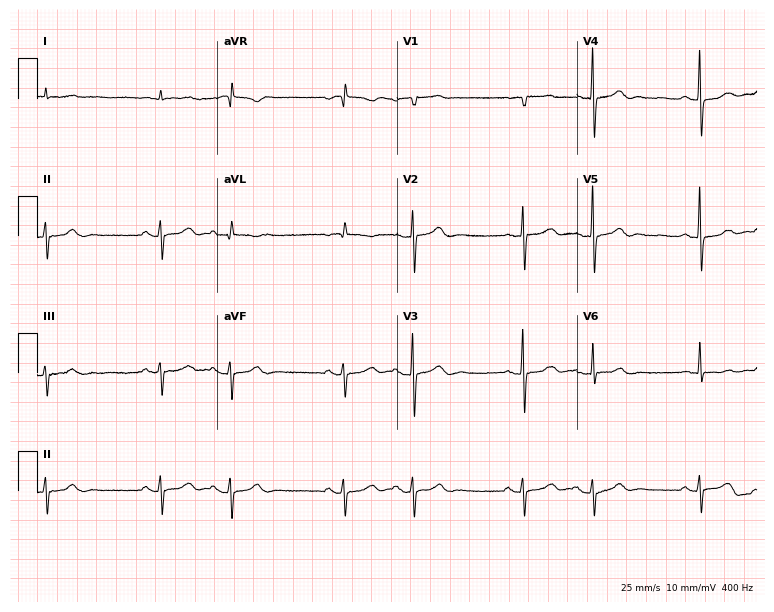
ECG — an 82-year-old man. Screened for six findings — first-degree AV block, right bundle branch block, left bundle branch block, sinus bradycardia, atrial fibrillation, sinus tachycardia — none is recorded.